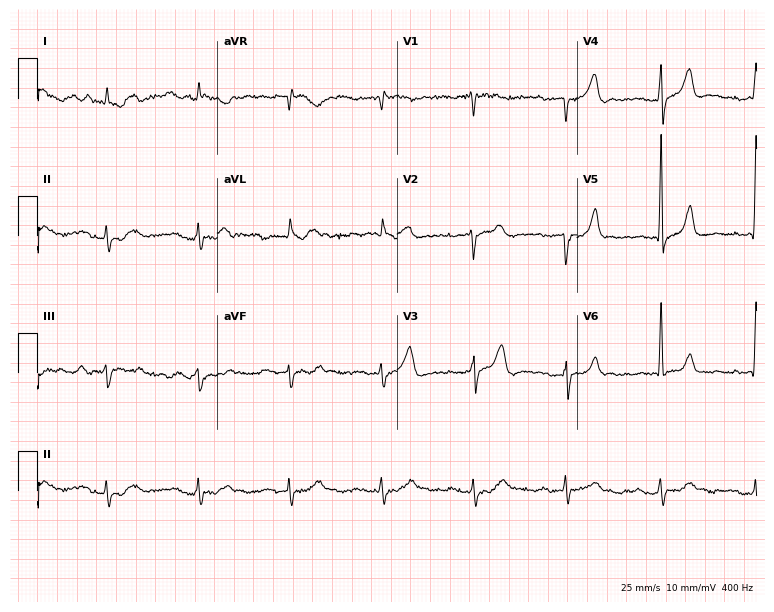
Resting 12-lead electrocardiogram (7.3-second recording at 400 Hz). Patient: an 81-year-old man. None of these six findings is recorded: first-degree AV block, right bundle branch block, left bundle branch block, sinus bradycardia, atrial fibrillation, sinus tachycardia. Findings outside these six are not listed.